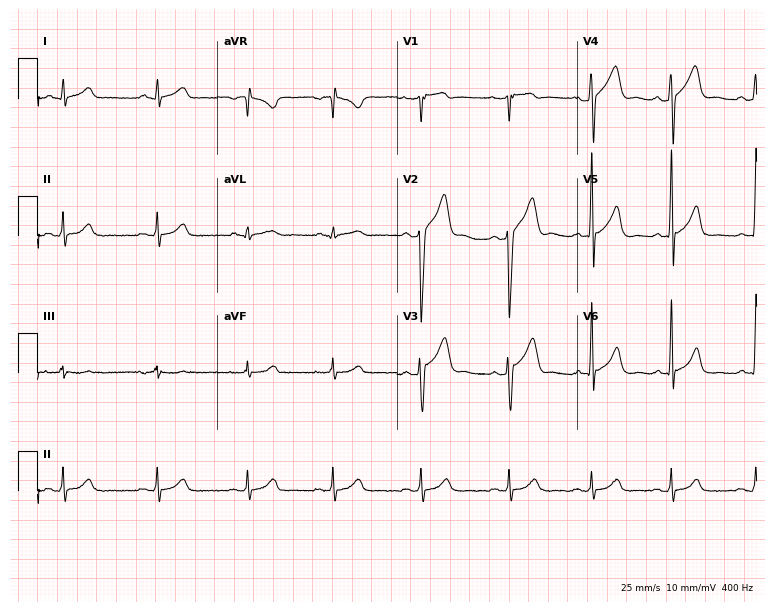
12-lead ECG from a 23-year-old man. No first-degree AV block, right bundle branch block, left bundle branch block, sinus bradycardia, atrial fibrillation or sinus tachycardia recorded for this tracing.